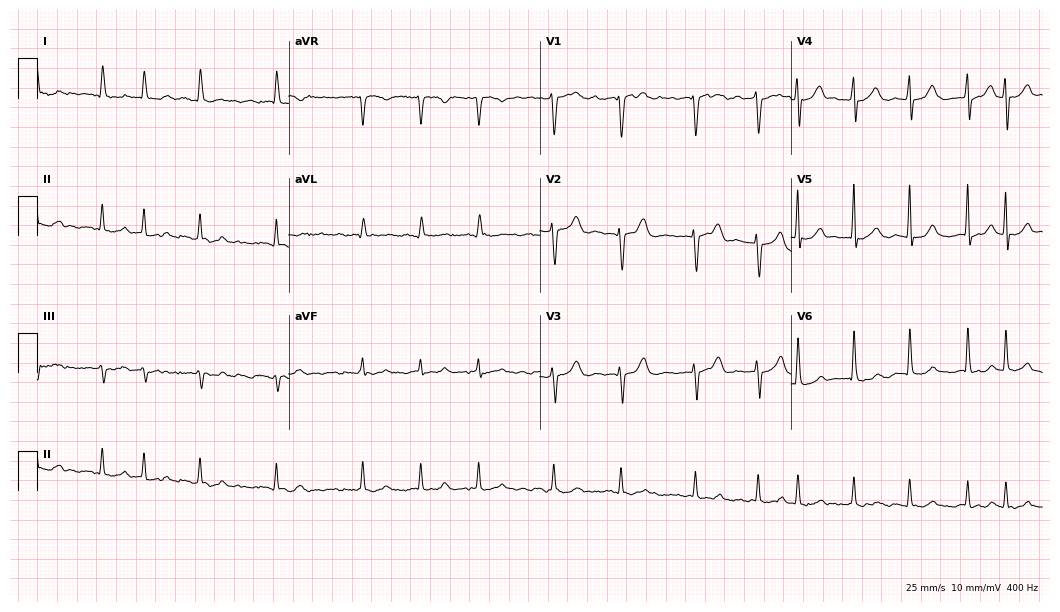
12-lead ECG from a female patient, 82 years old (10.2-second recording at 400 Hz). Shows atrial fibrillation.